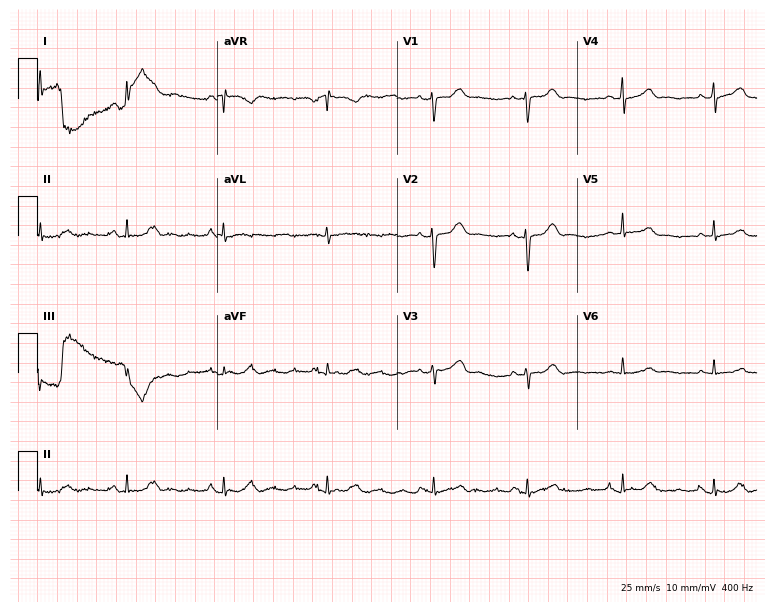
12-lead ECG from a 42-year-old female patient. Labelled as a normal ECG.